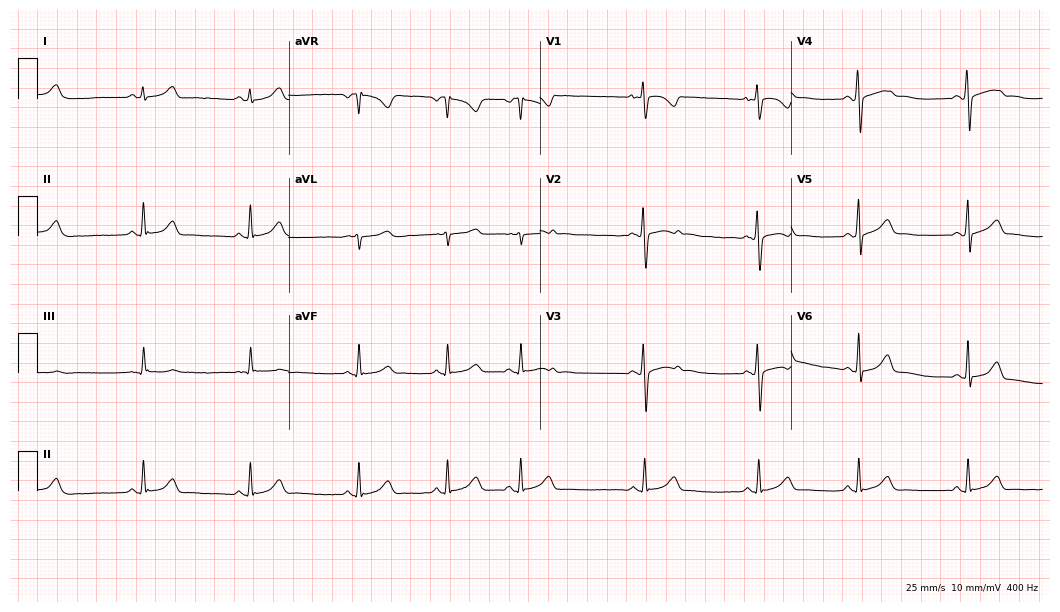
12-lead ECG from a female, 25 years old (10.2-second recording at 400 Hz). Recorded interpretation: within normal limits.